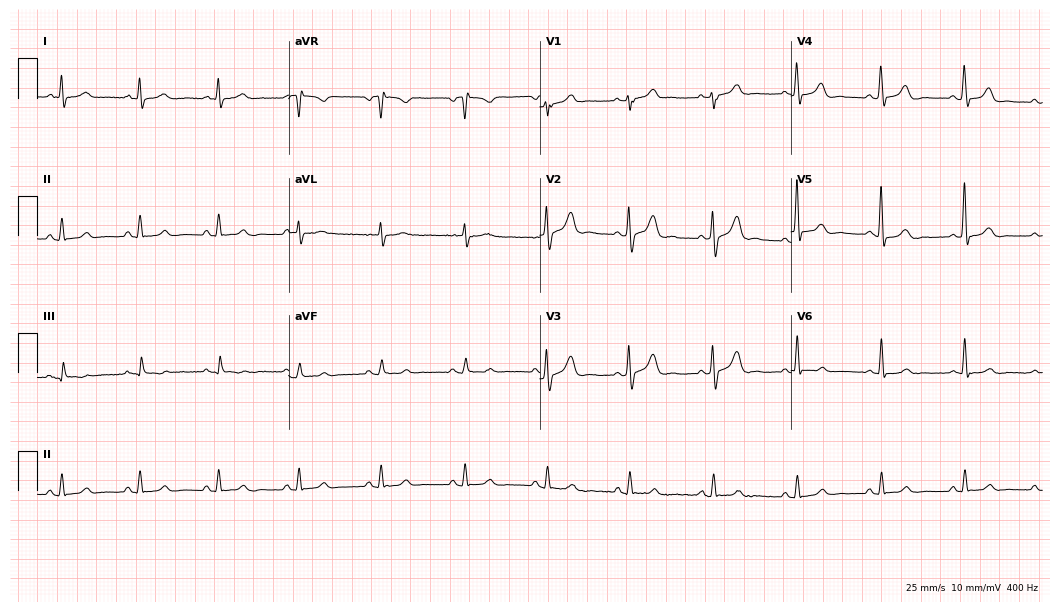
12-lead ECG from a 53-year-old male (10.2-second recording at 400 Hz). Recorded interpretation: within normal limits.